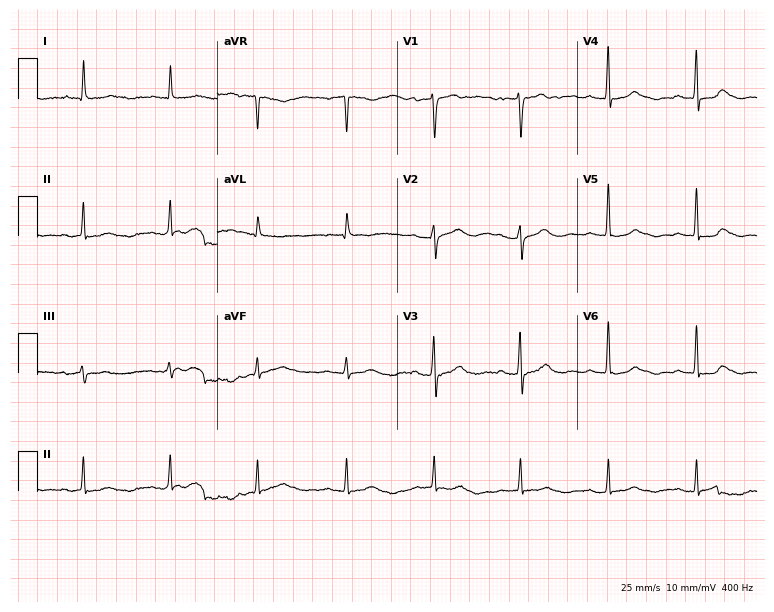
Electrocardiogram, a 73-year-old male. Of the six screened findings (first-degree AV block, right bundle branch block, left bundle branch block, sinus bradycardia, atrial fibrillation, sinus tachycardia), none is recorded. Only these six findings were labelled.